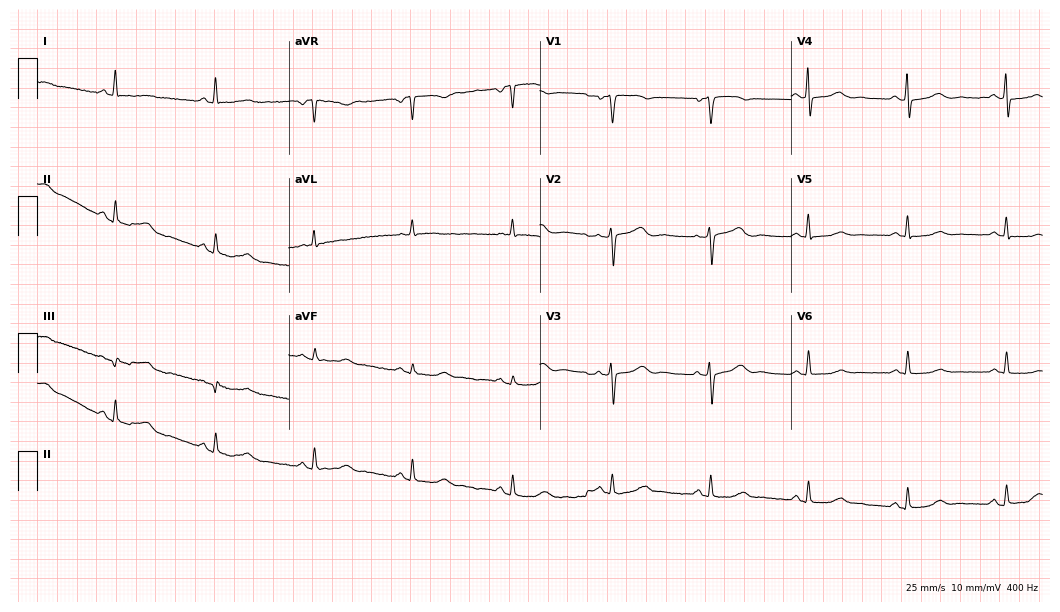
Standard 12-lead ECG recorded from a female, 60 years old (10.2-second recording at 400 Hz). None of these six findings is recorded: first-degree AV block, right bundle branch block (RBBB), left bundle branch block (LBBB), sinus bradycardia, atrial fibrillation (AF), sinus tachycardia.